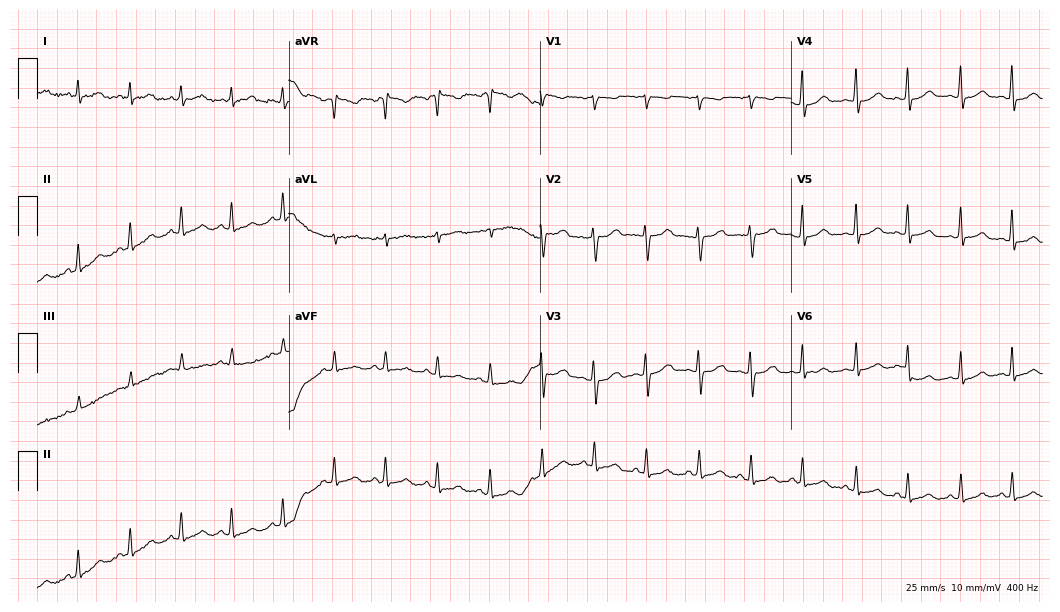
Electrocardiogram, a 19-year-old female. Of the six screened findings (first-degree AV block, right bundle branch block (RBBB), left bundle branch block (LBBB), sinus bradycardia, atrial fibrillation (AF), sinus tachycardia), none is recorded. Only these six findings were labelled.